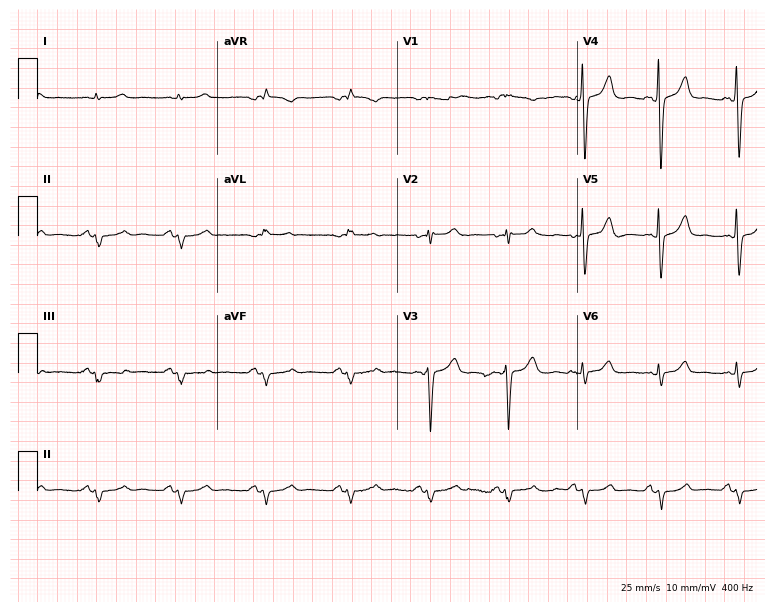
Resting 12-lead electrocardiogram. Patient: a male, 60 years old. None of these six findings is recorded: first-degree AV block, right bundle branch block, left bundle branch block, sinus bradycardia, atrial fibrillation, sinus tachycardia.